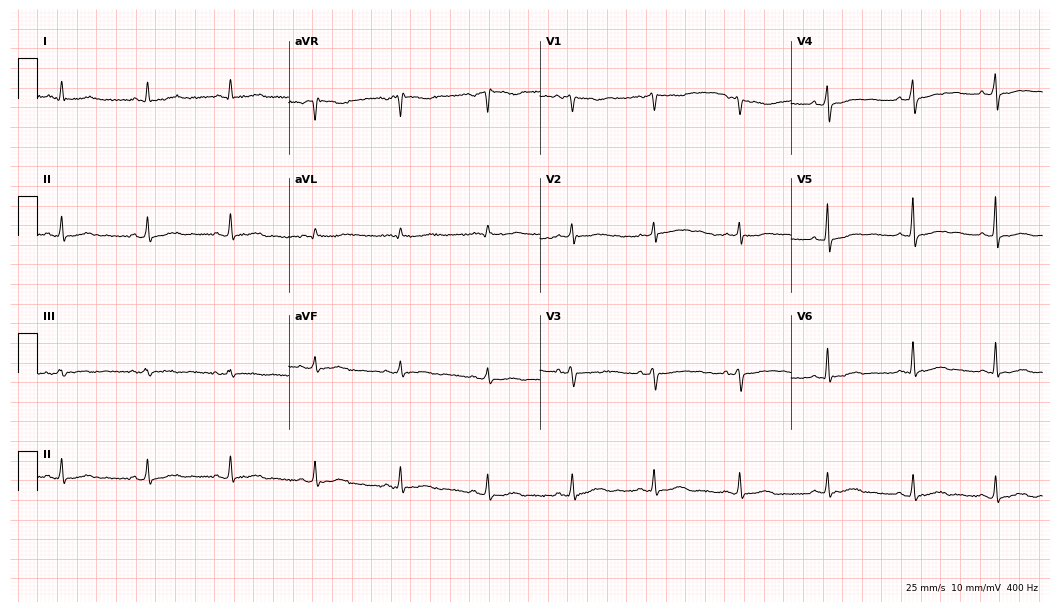
Standard 12-lead ECG recorded from a female, 54 years old. None of these six findings is recorded: first-degree AV block, right bundle branch block, left bundle branch block, sinus bradycardia, atrial fibrillation, sinus tachycardia. Only these six findings were labelled.